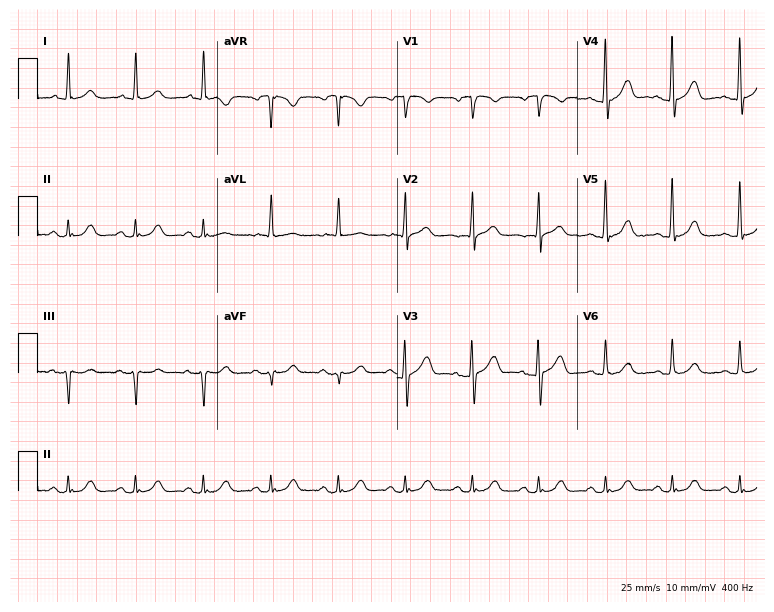
12-lead ECG from a 65-year-old male. Labelled as a normal ECG.